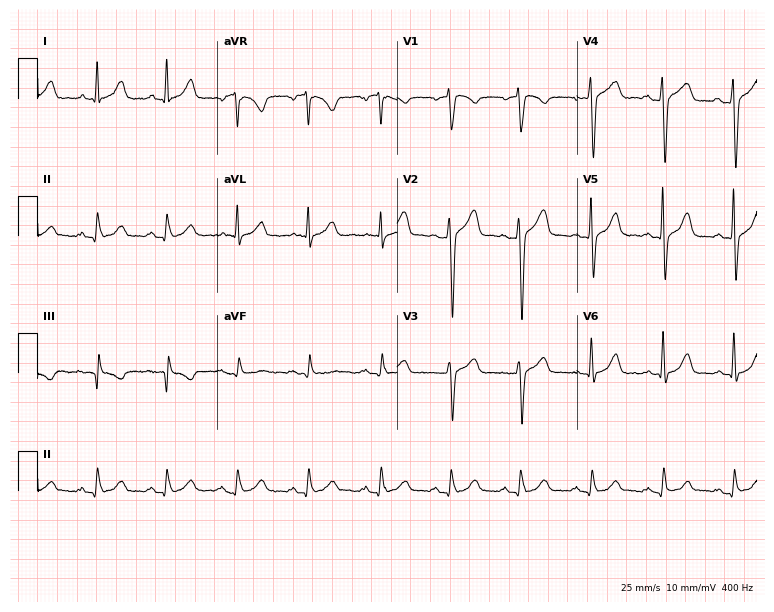
Electrocardiogram (7.3-second recording at 400 Hz), a 52-year-old male patient. Overall reading on record: normal ECG.